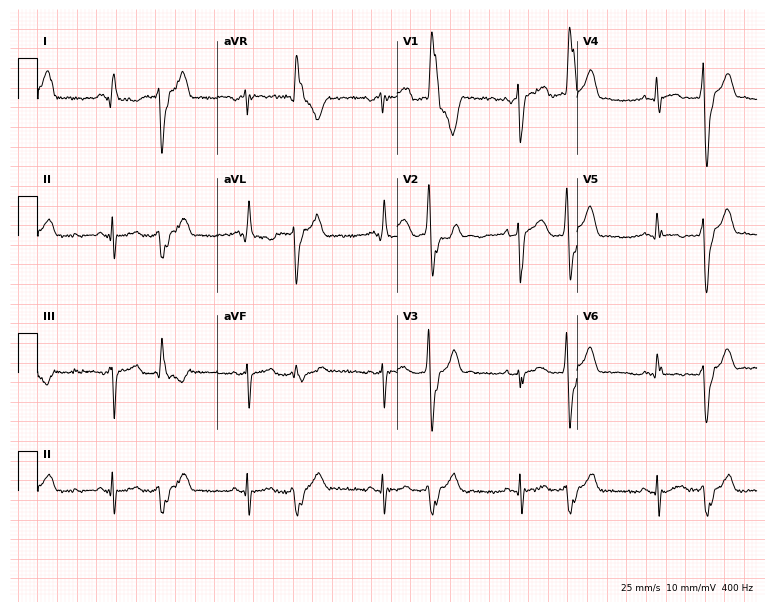
Electrocardiogram (7.3-second recording at 400 Hz), a man, 46 years old. Of the six screened findings (first-degree AV block, right bundle branch block (RBBB), left bundle branch block (LBBB), sinus bradycardia, atrial fibrillation (AF), sinus tachycardia), none is recorded. Findings outside these six are not listed.